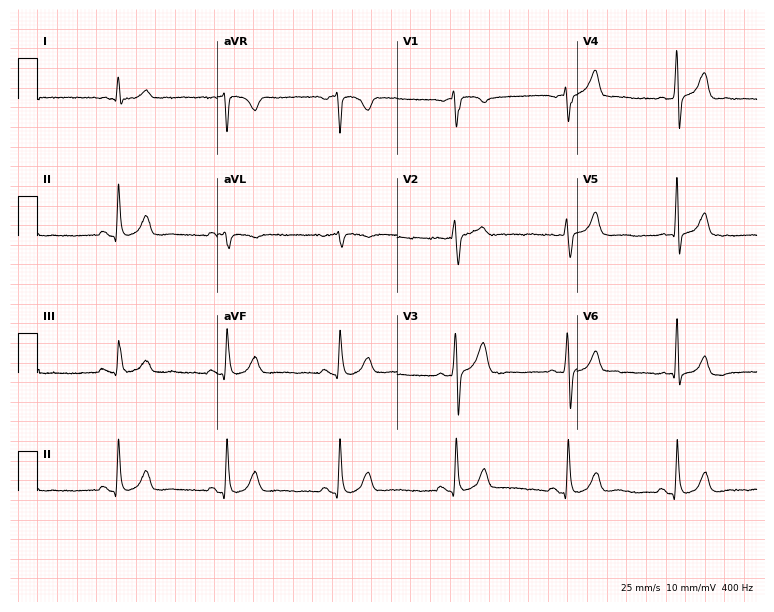
12-lead ECG (7.3-second recording at 400 Hz) from a 71-year-old male patient. Labelled as a normal ECG.